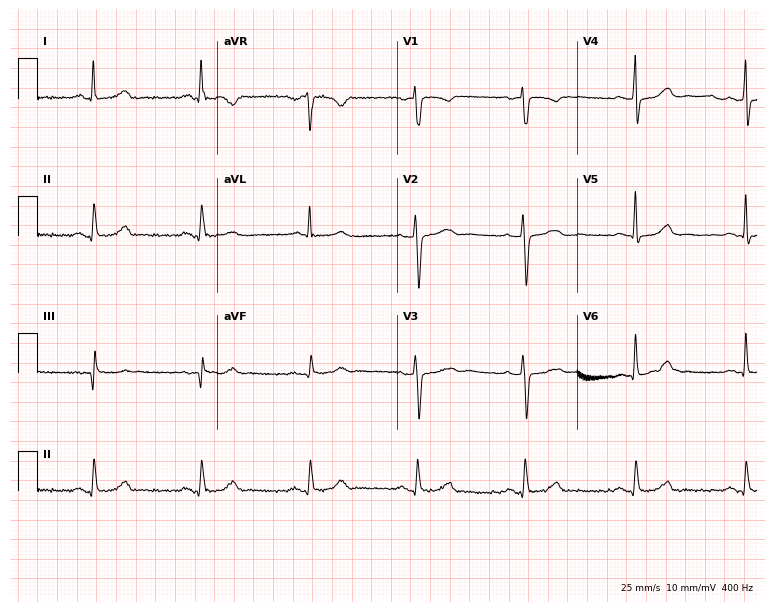
Resting 12-lead electrocardiogram. Patient: a 55-year-old woman. Read as a normal ECG.